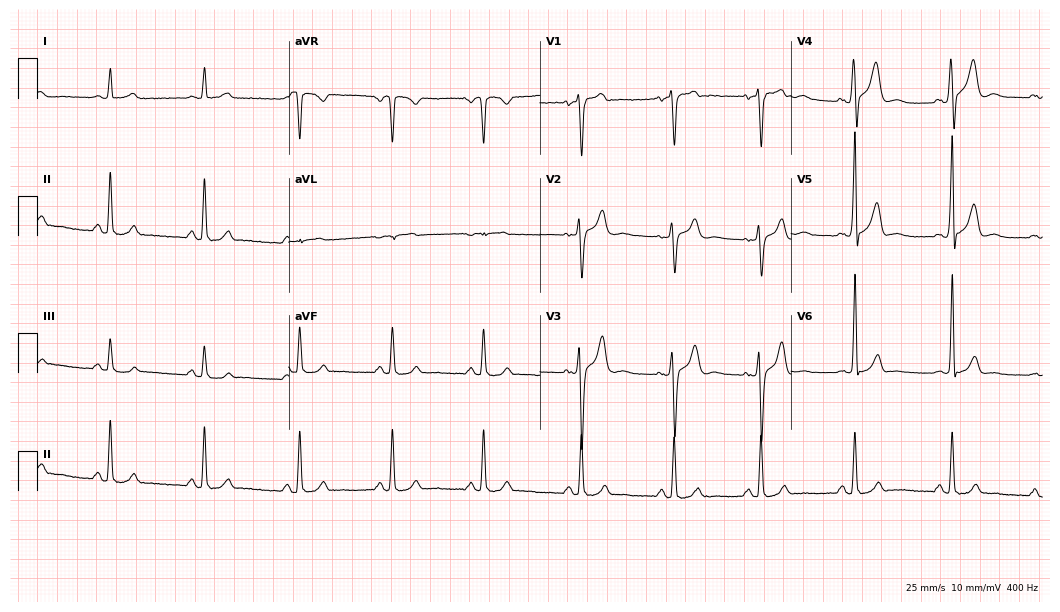
12-lead ECG from a male, 31 years old. Recorded interpretation: within normal limits.